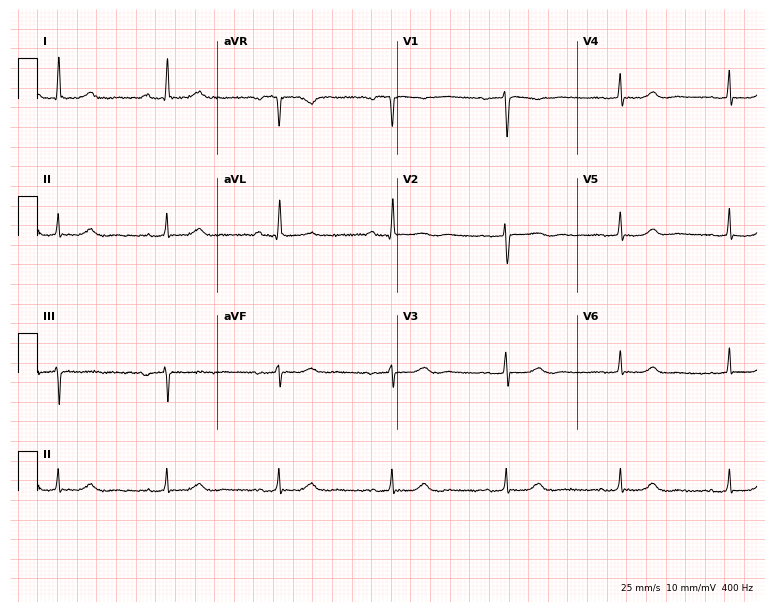
Resting 12-lead electrocardiogram (7.3-second recording at 400 Hz). Patient: a 71-year-old woman. The tracing shows first-degree AV block.